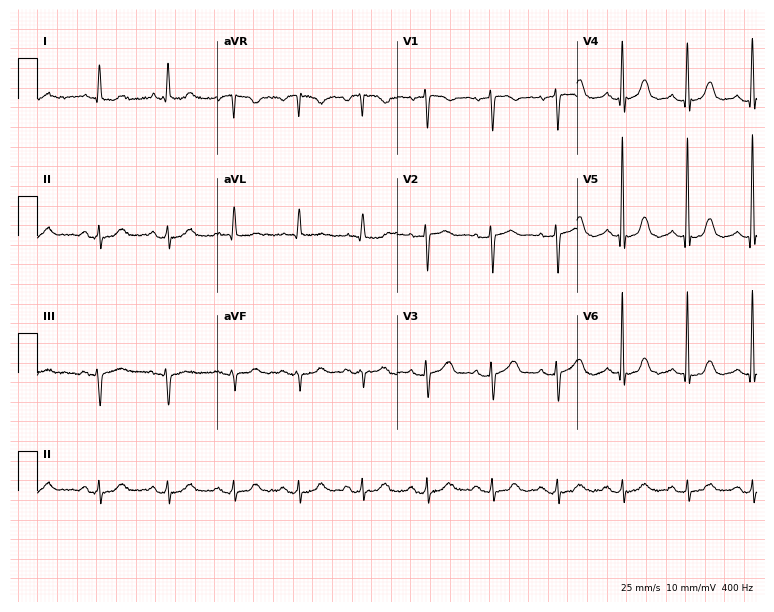
Standard 12-lead ECG recorded from a 78-year-old woman (7.3-second recording at 400 Hz). Read as a normal ECG.